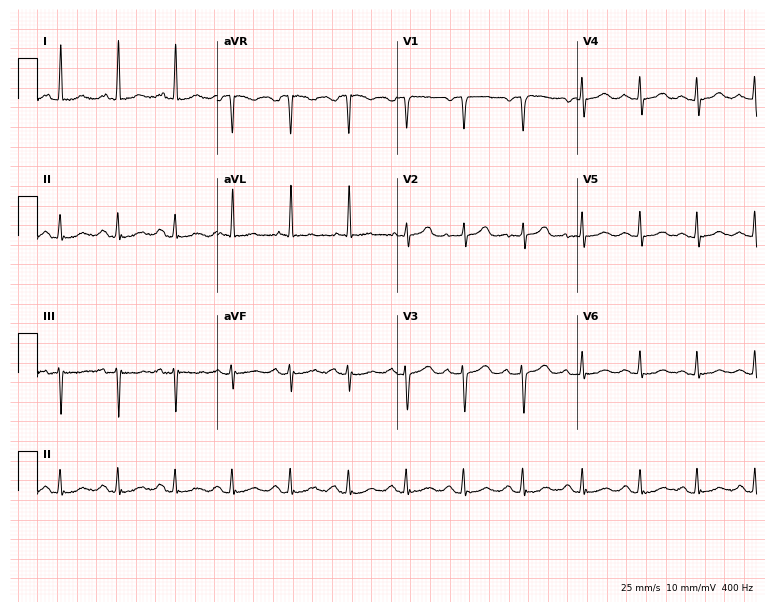
12-lead ECG from a woman, 78 years old (7.3-second recording at 400 Hz). Shows sinus tachycardia (a sinus rate of 100 beats per minute or more).